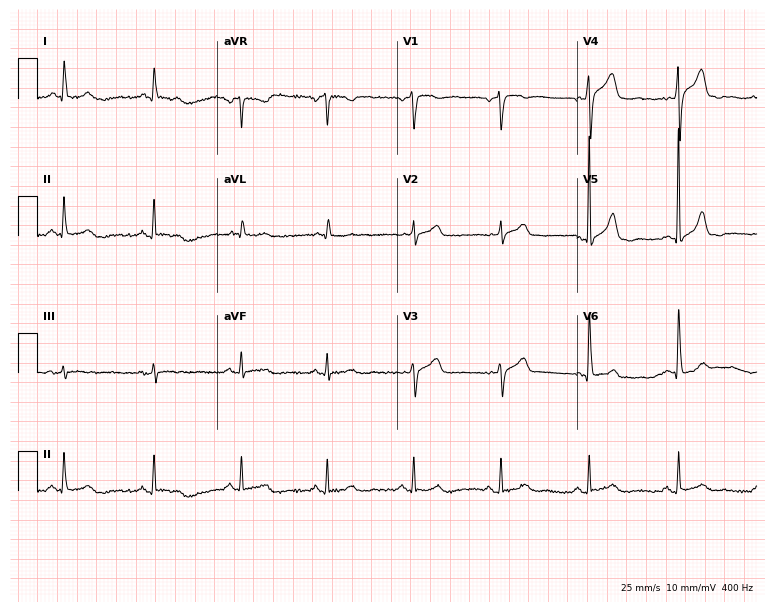
Resting 12-lead electrocardiogram. Patient: a 56-year-old male. None of these six findings is recorded: first-degree AV block, right bundle branch block, left bundle branch block, sinus bradycardia, atrial fibrillation, sinus tachycardia. Only these six findings were labelled.